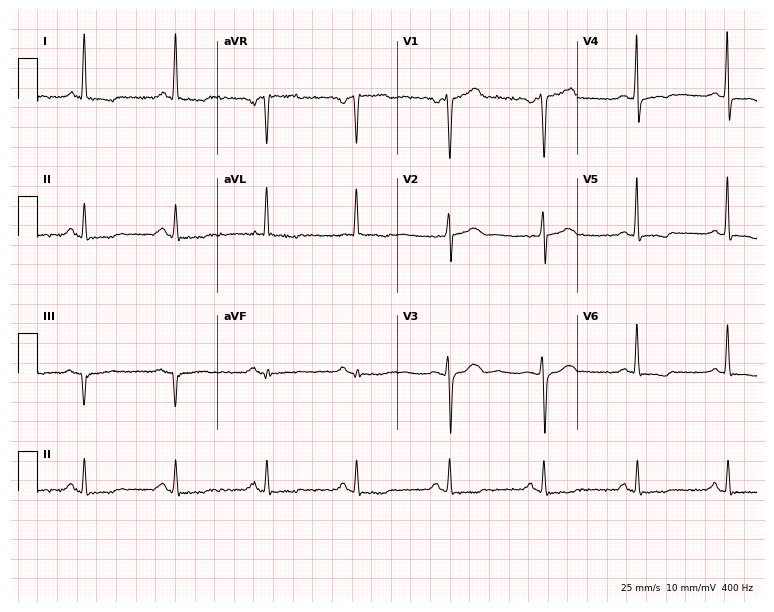
Electrocardiogram, a male, 65 years old. Of the six screened findings (first-degree AV block, right bundle branch block, left bundle branch block, sinus bradycardia, atrial fibrillation, sinus tachycardia), none is recorded.